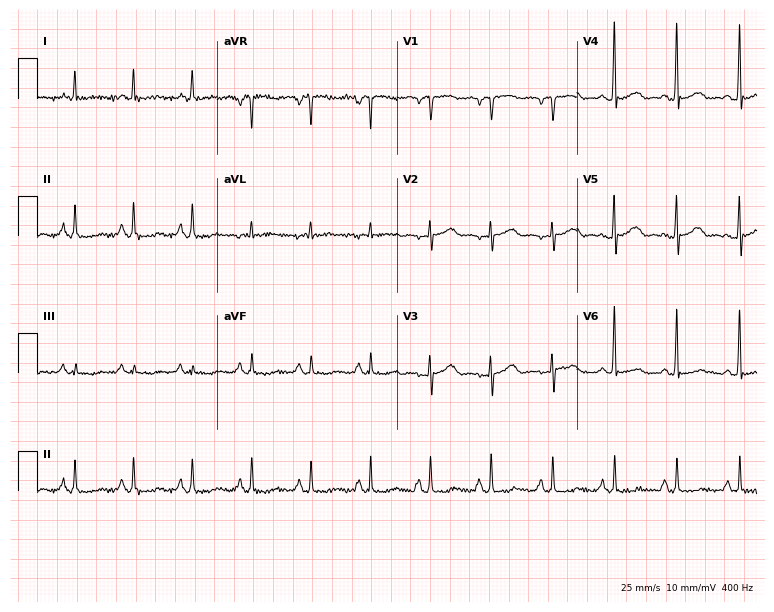
Resting 12-lead electrocardiogram. Patient: a female, 83 years old. None of these six findings is recorded: first-degree AV block, right bundle branch block, left bundle branch block, sinus bradycardia, atrial fibrillation, sinus tachycardia.